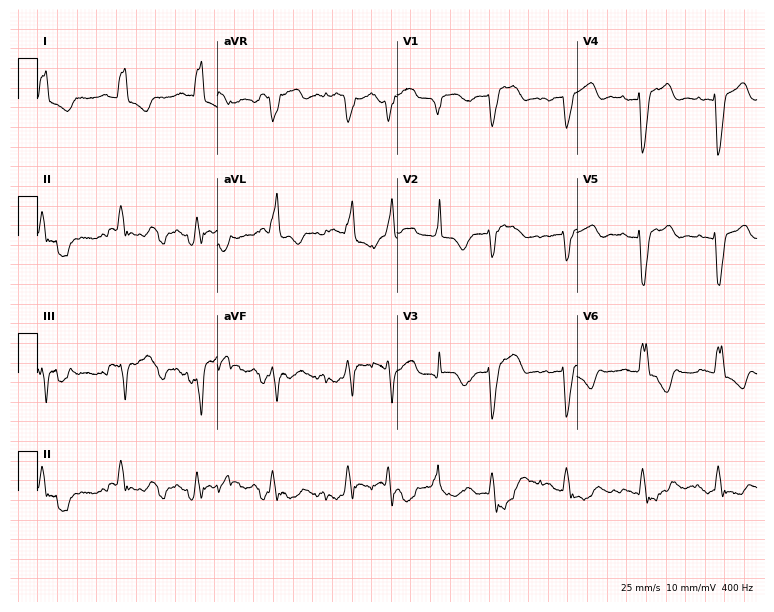
Resting 12-lead electrocardiogram (7.3-second recording at 400 Hz). Patient: a female, 82 years old. The tracing shows left bundle branch block, atrial fibrillation.